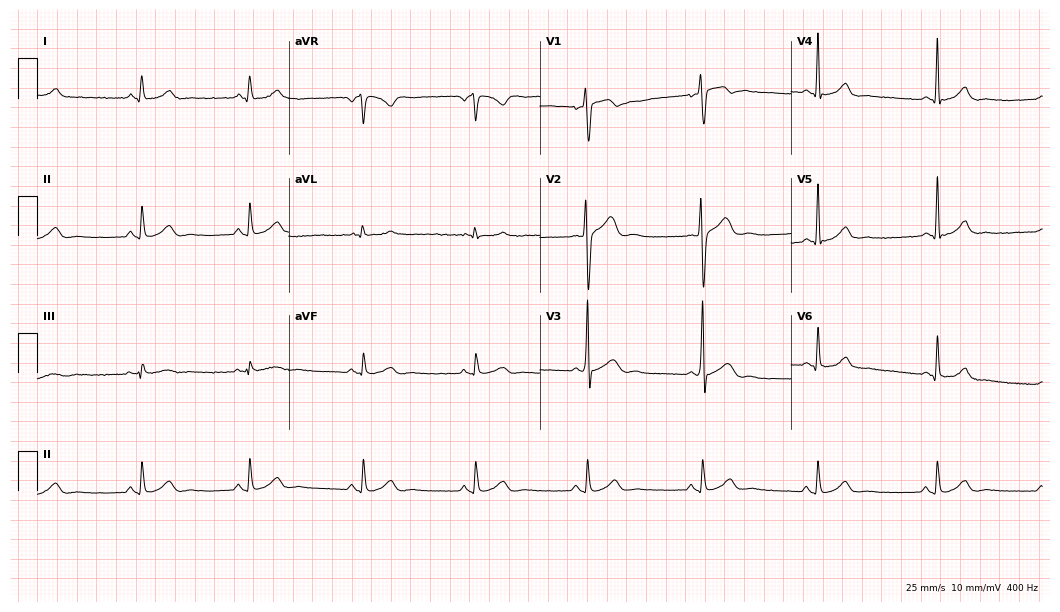
ECG (10.2-second recording at 400 Hz) — a male patient, 23 years old. Labelled as a normal ECG.